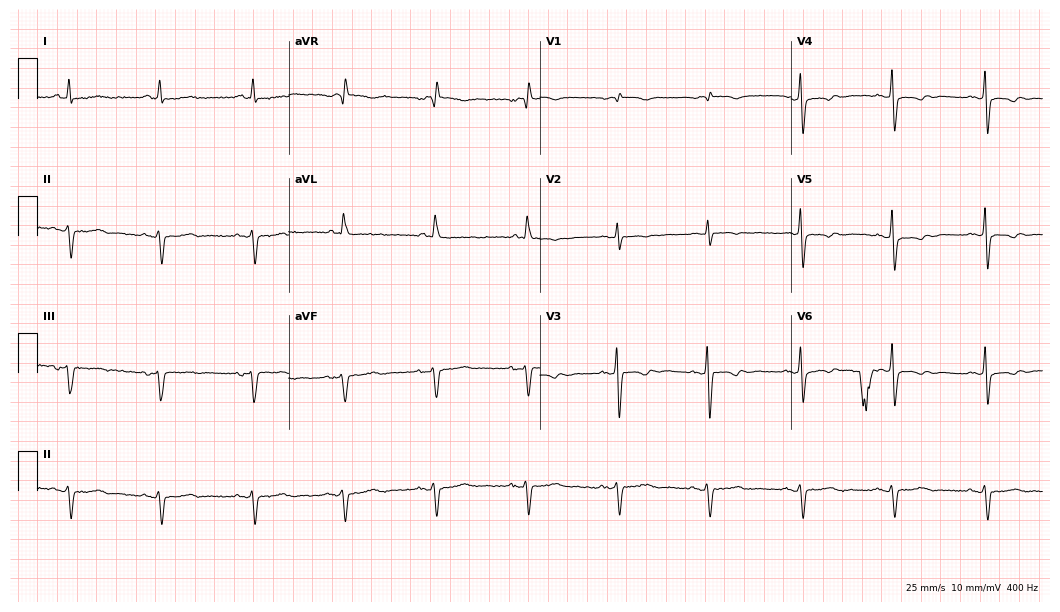
Resting 12-lead electrocardiogram (10.2-second recording at 400 Hz). Patient: a 75-year-old female. None of these six findings is recorded: first-degree AV block, right bundle branch block (RBBB), left bundle branch block (LBBB), sinus bradycardia, atrial fibrillation (AF), sinus tachycardia. Findings outside these six are not listed.